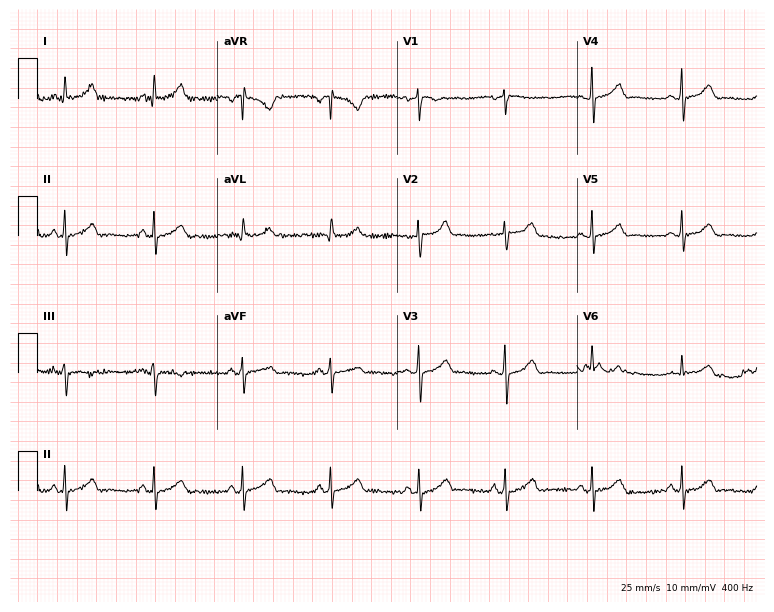
Resting 12-lead electrocardiogram (7.3-second recording at 400 Hz). Patient: a female, 42 years old. Read as a normal ECG.